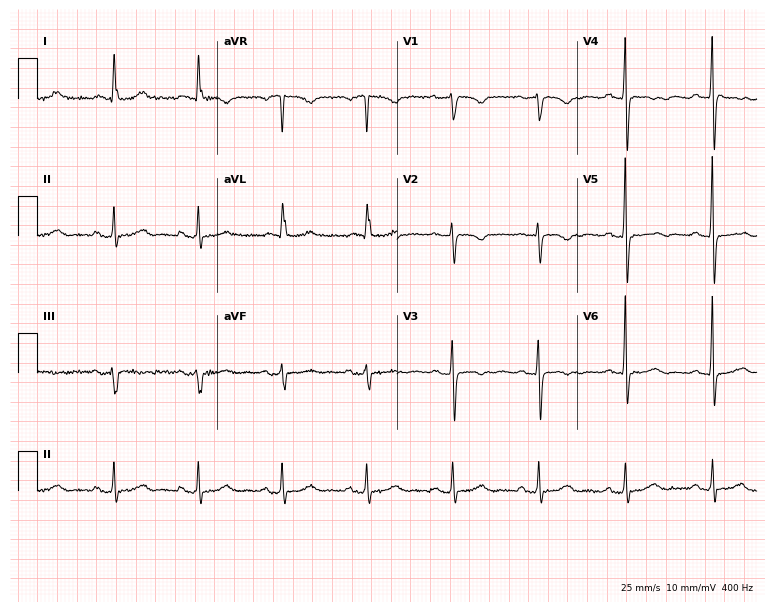
12-lead ECG (7.3-second recording at 400 Hz) from a 68-year-old female patient. Screened for six findings — first-degree AV block, right bundle branch block, left bundle branch block, sinus bradycardia, atrial fibrillation, sinus tachycardia — none is recorded. Other findings, if any, are not listed.